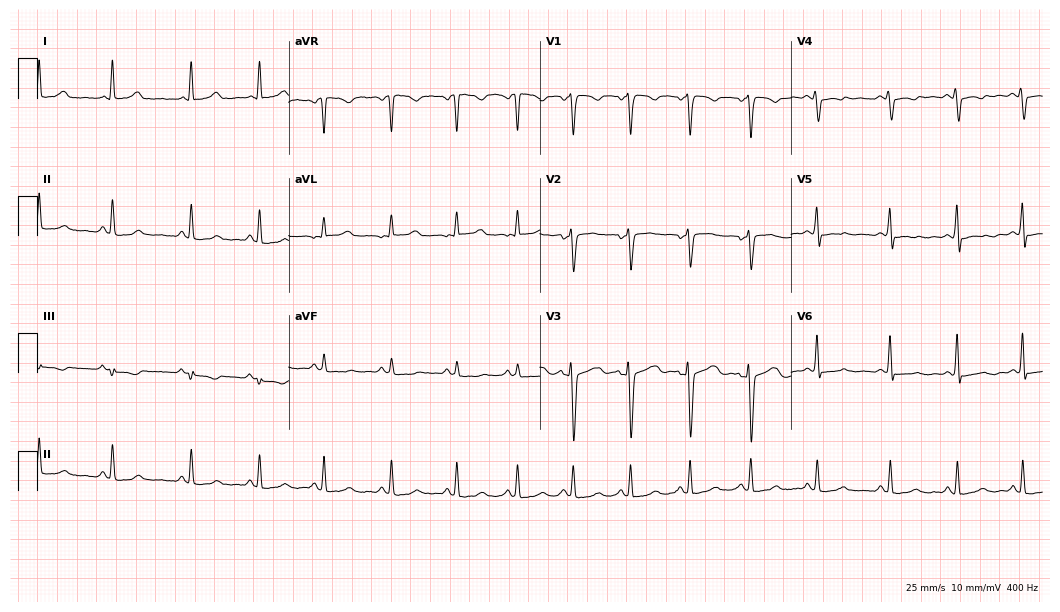
12-lead ECG (10.2-second recording at 400 Hz) from a female, 32 years old. Labelled as a normal ECG.